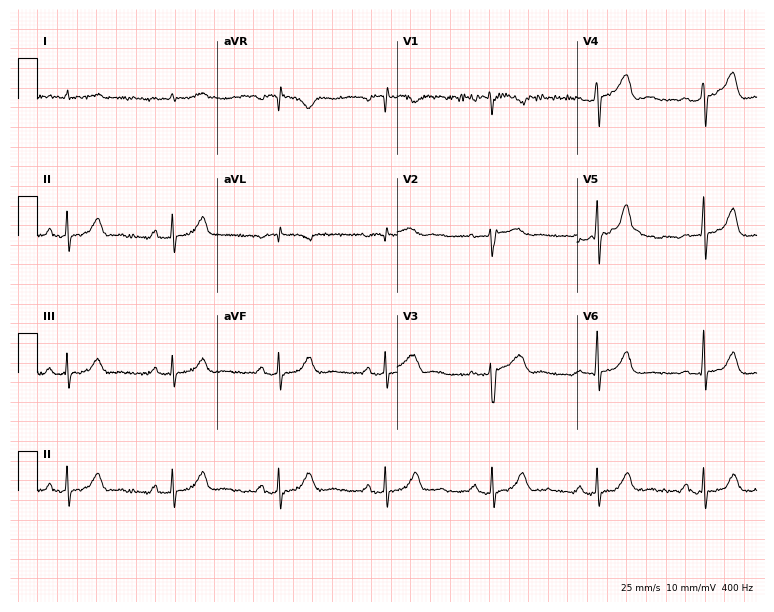
12-lead ECG from a 67-year-old male. Screened for six findings — first-degree AV block, right bundle branch block, left bundle branch block, sinus bradycardia, atrial fibrillation, sinus tachycardia — none is recorded.